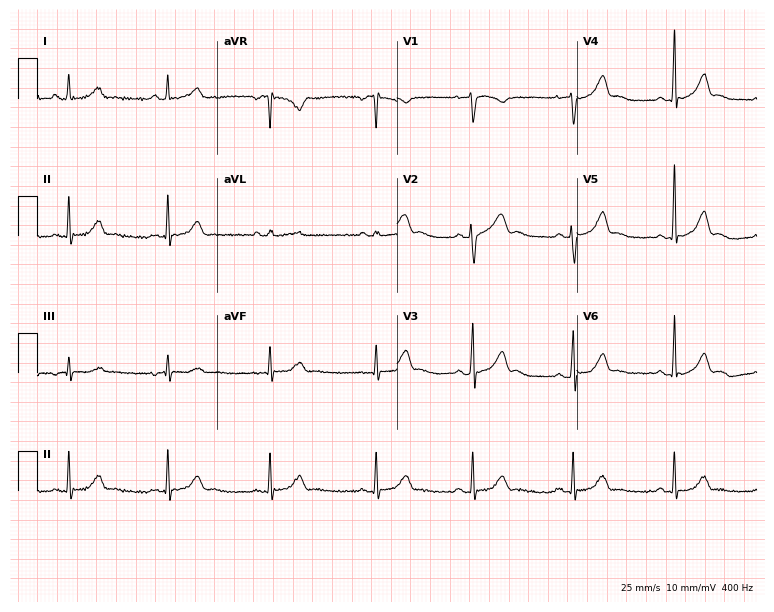
Standard 12-lead ECG recorded from a woman, 38 years old (7.3-second recording at 400 Hz). None of these six findings is recorded: first-degree AV block, right bundle branch block (RBBB), left bundle branch block (LBBB), sinus bradycardia, atrial fibrillation (AF), sinus tachycardia.